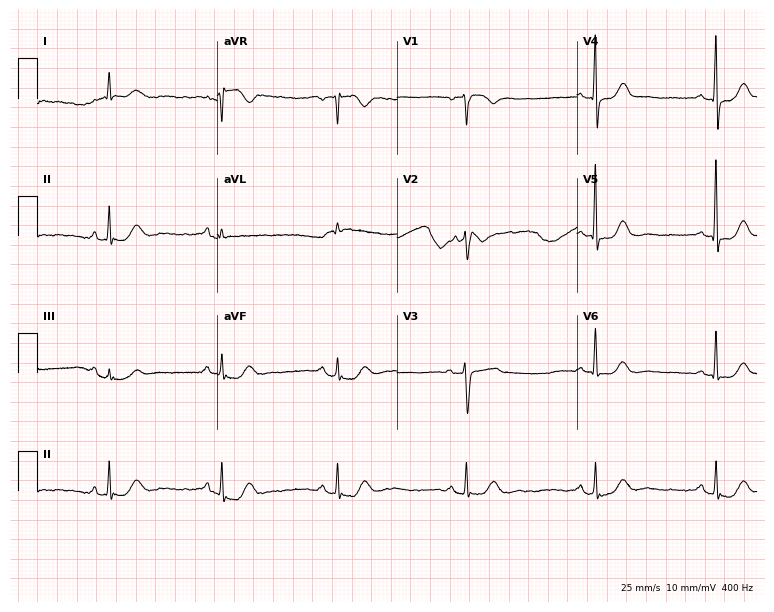
Standard 12-lead ECG recorded from a 70-year-old woman (7.3-second recording at 400 Hz). Read as a normal ECG.